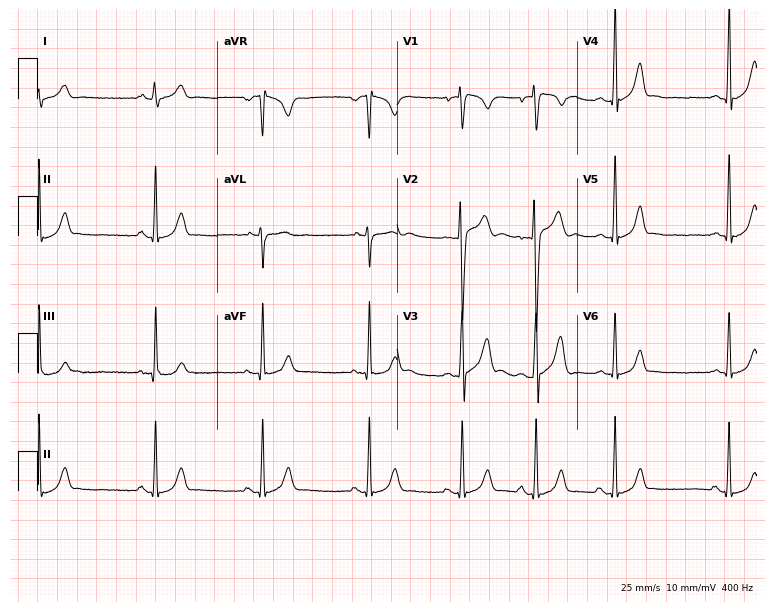
12-lead ECG from an 18-year-old male patient (7.3-second recording at 400 Hz). Recorded interpretation: within normal limits.